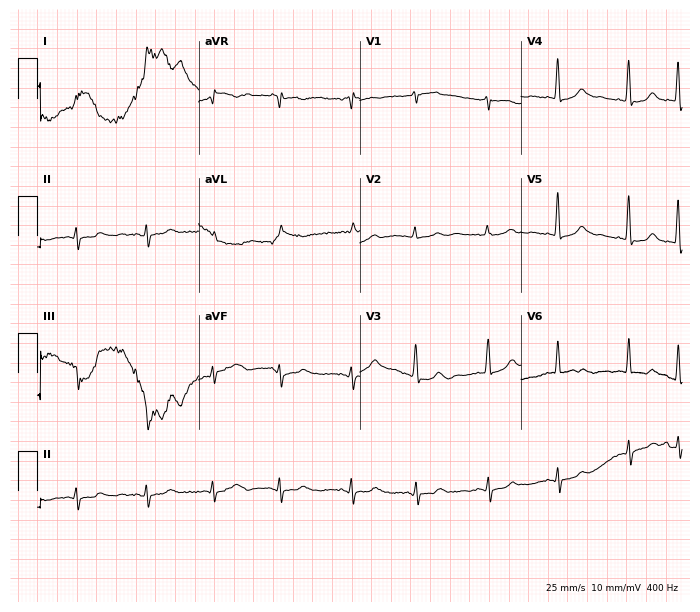
12-lead ECG from a man, 82 years old. No first-degree AV block, right bundle branch block, left bundle branch block, sinus bradycardia, atrial fibrillation or sinus tachycardia recorded for this tracing.